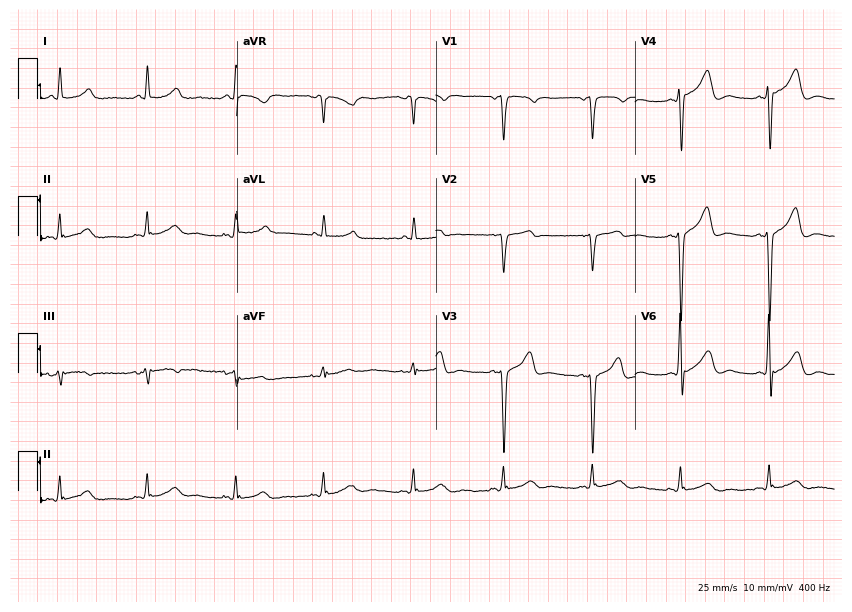
12-lead ECG (8.1-second recording at 400 Hz) from a man, 54 years old. Labelled as a normal ECG.